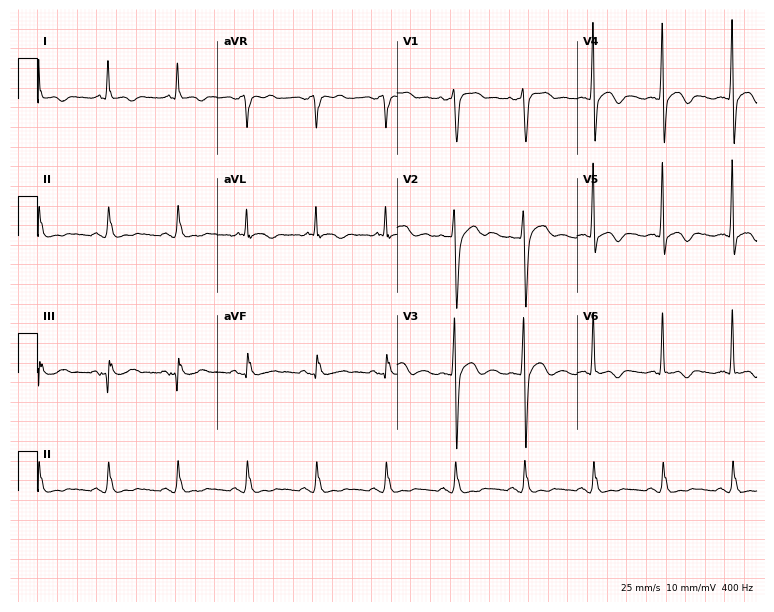
12-lead ECG from a 59-year-old male. Screened for six findings — first-degree AV block, right bundle branch block, left bundle branch block, sinus bradycardia, atrial fibrillation, sinus tachycardia — none is recorded. Other findings, if any, are not listed.